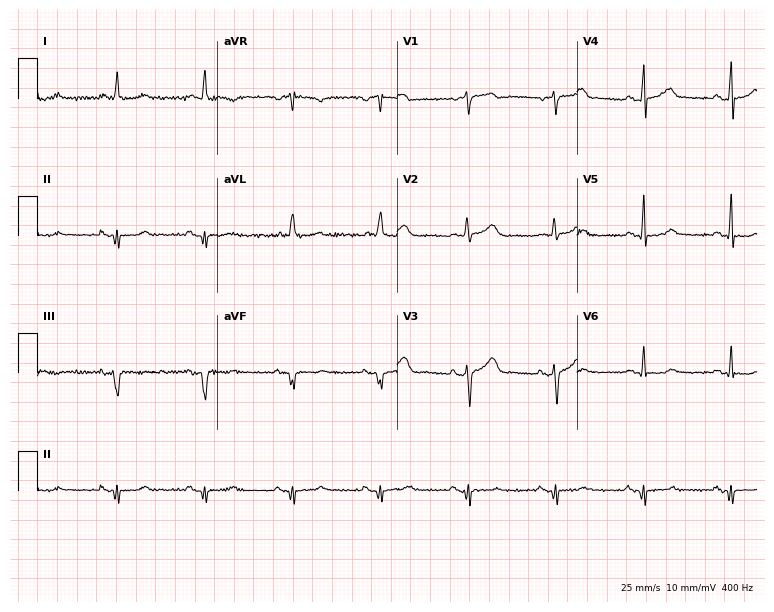
Standard 12-lead ECG recorded from a male patient, 72 years old (7.3-second recording at 400 Hz). Read as a normal ECG.